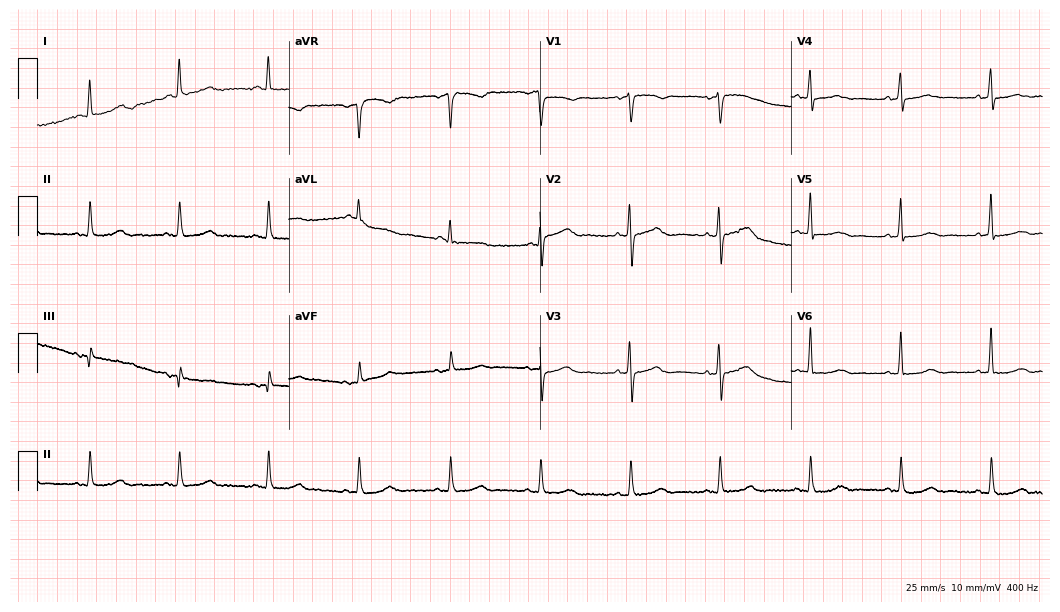
Electrocardiogram (10.2-second recording at 400 Hz), a 60-year-old female. Overall reading on record: normal ECG.